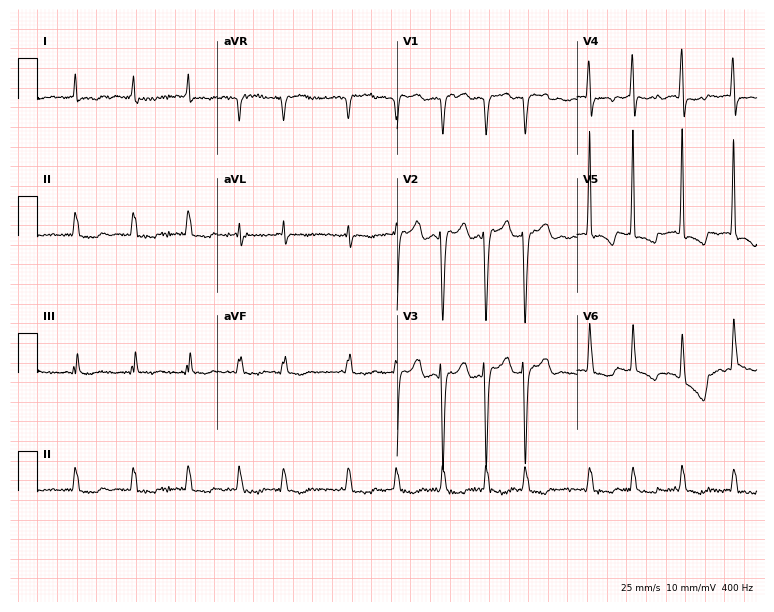
12-lead ECG from a female, 85 years old (7.3-second recording at 400 Hz). Shows atrial fibrillation (AF).